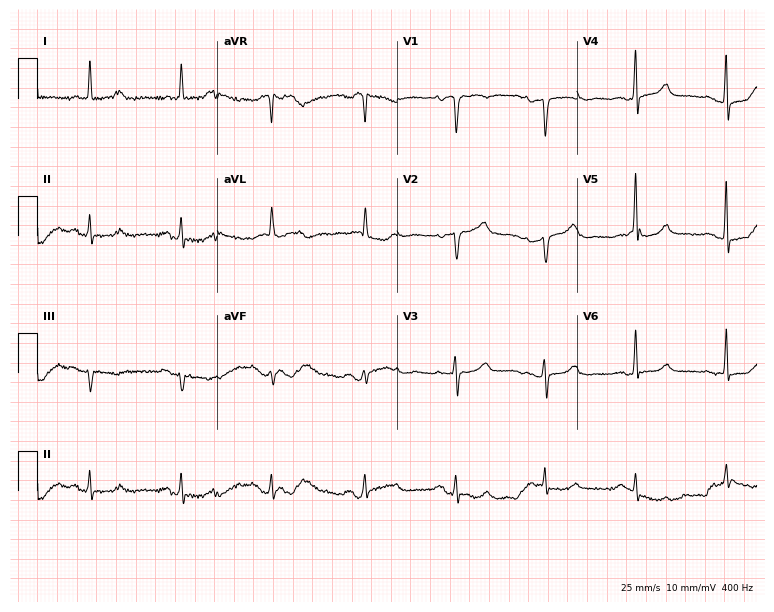
Electrocardiogram, an 83-year-old woman. Overall reading on record: normal ECG.